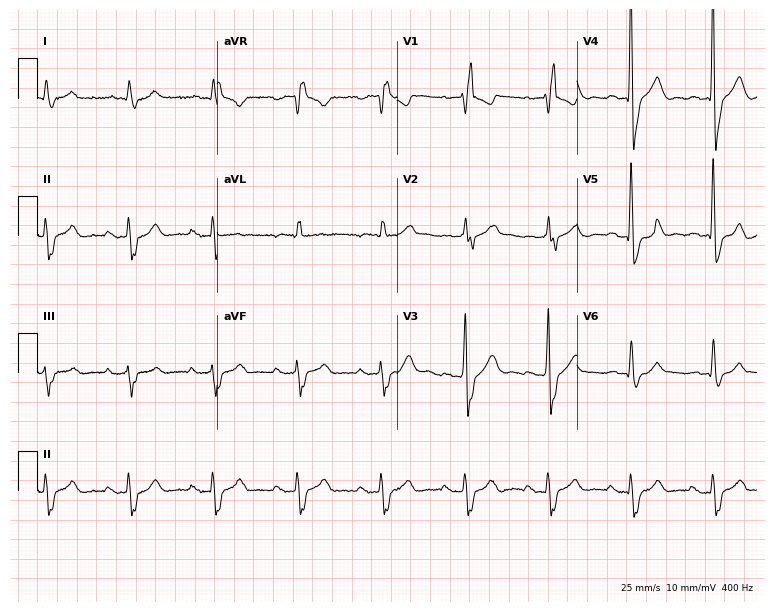
12-lead ECG from a 72-year-old male patient (7.3-second recording at 400 Hz). Shows right bundle branch block (RBBB).